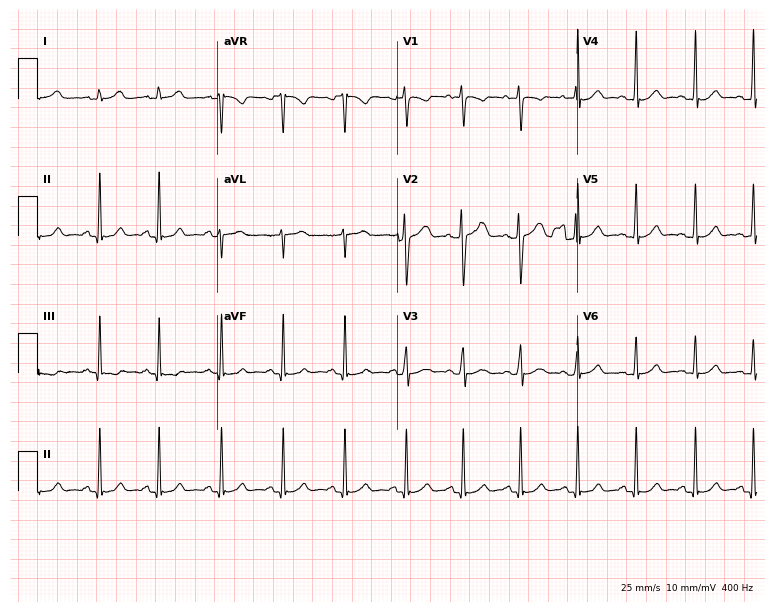
12-lead ECG from a female, 18 years old (7.3-second recording at 400 Hz). Recorded interpretation: within normal limits.